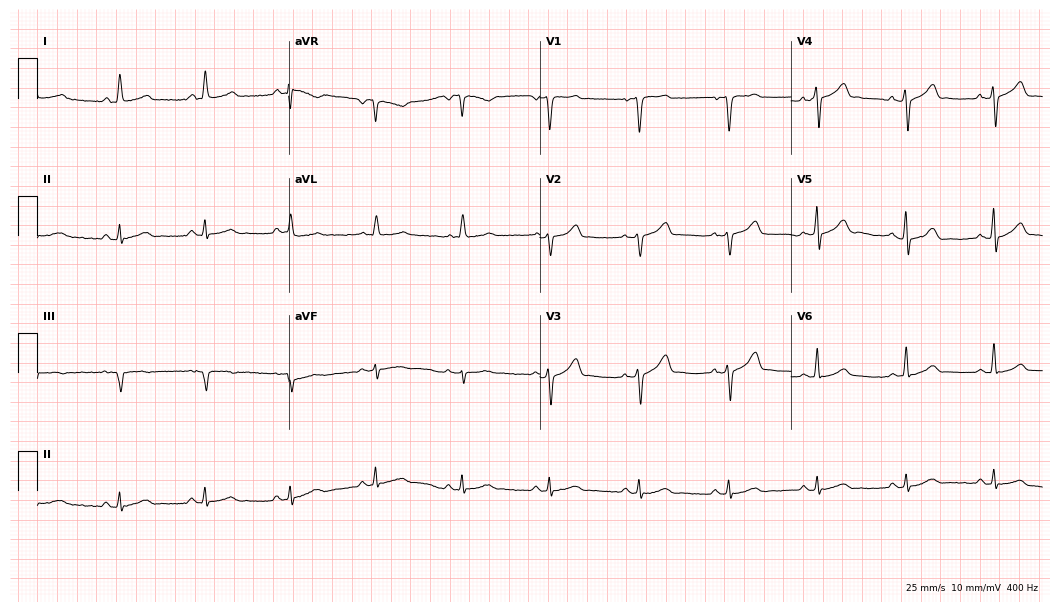
Resting 12-lead electrocardiogram (10.2-second recording at 400 Hz). Patient: a male, 41 years old. None of these six findings is recorded: first-degree AV block, right bundle branch block, left bundle branch block, sinus bradycardia, atrial fibrillation, sinus tachycardia.